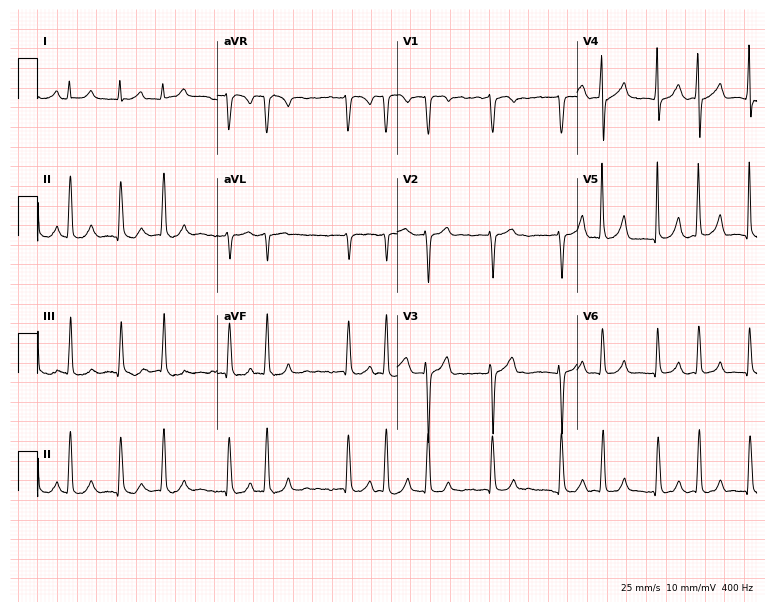
12-lead ECG from a 74-year-old female patient. Findings include atrial fibrillation.